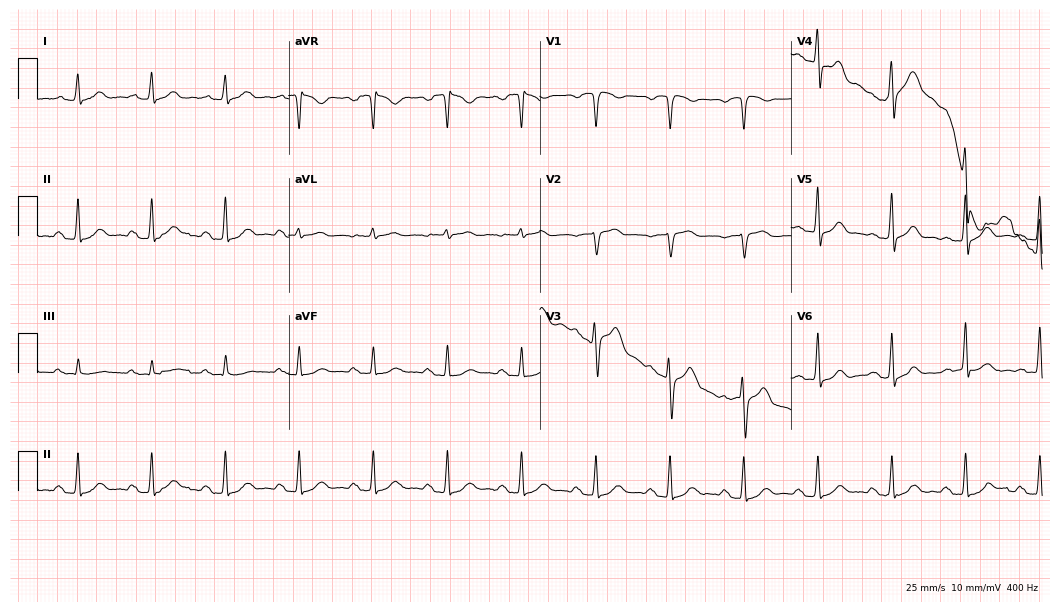
ECG (10.2-second recording at 400 Hz) — a male, 64 years old. Screened for six findings — first-degree AV block, right bundle branch block (RBBB), left bundle branch block (LBBB), sinus bradycardia, atrial fibrillation (AF), sinus tachycardia — none is recorded. Only these six findings were labelled.